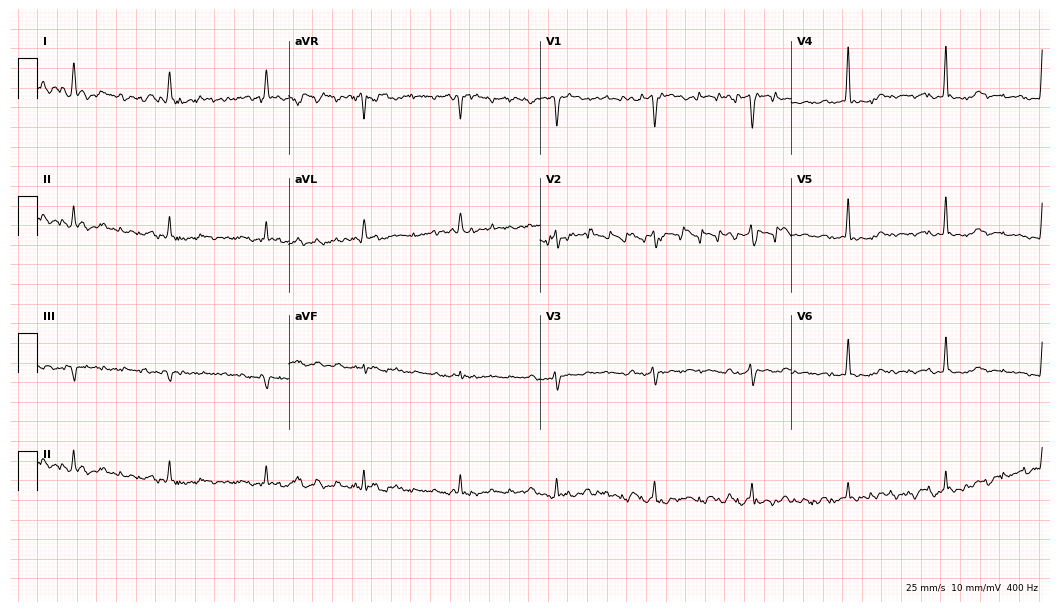
12-lead ECG from a 71-year-old female. Screened for six findings — first-degree AV block, right bundle branch block (RBBB), left bundle branch block (LBBB), sinus bradycardia, atrial fibrillation (AF), sinus tachycardia — none is recorded. Findings outside these six are not listed.